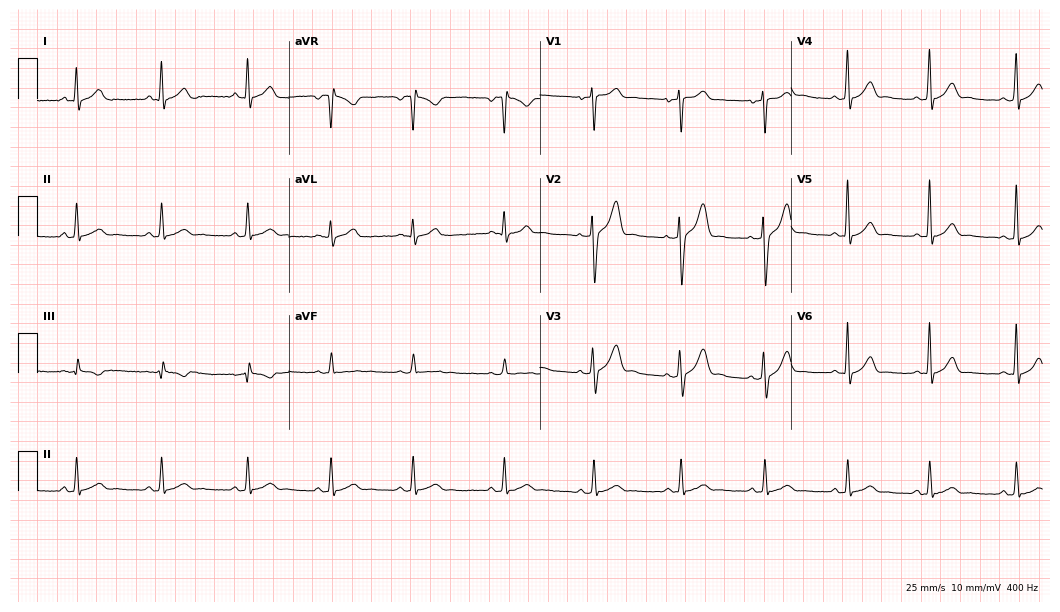
Resting 12-lead electrocardiogram. Patient: a 32-year-old male. Read as a normal ECG.